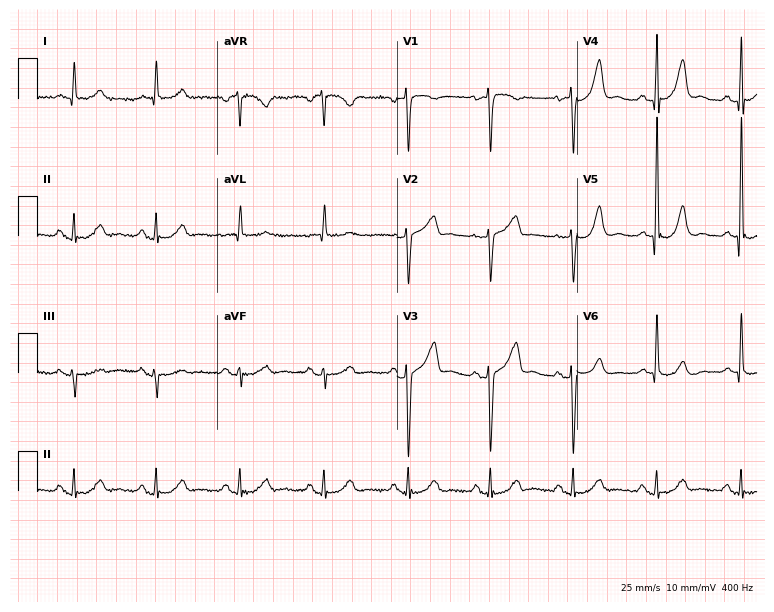
ECG (7.3-second recording at 400 Hz) — a 75-year-old woman. Screened for six findings — first-degree AV block, right bundle branch block (RBBB), left bundle branch block (LBBB), sinus bradycardia, atrial fibrillation (AF), sinus tachycardia — none is recorded. Only these six findings were labelled.